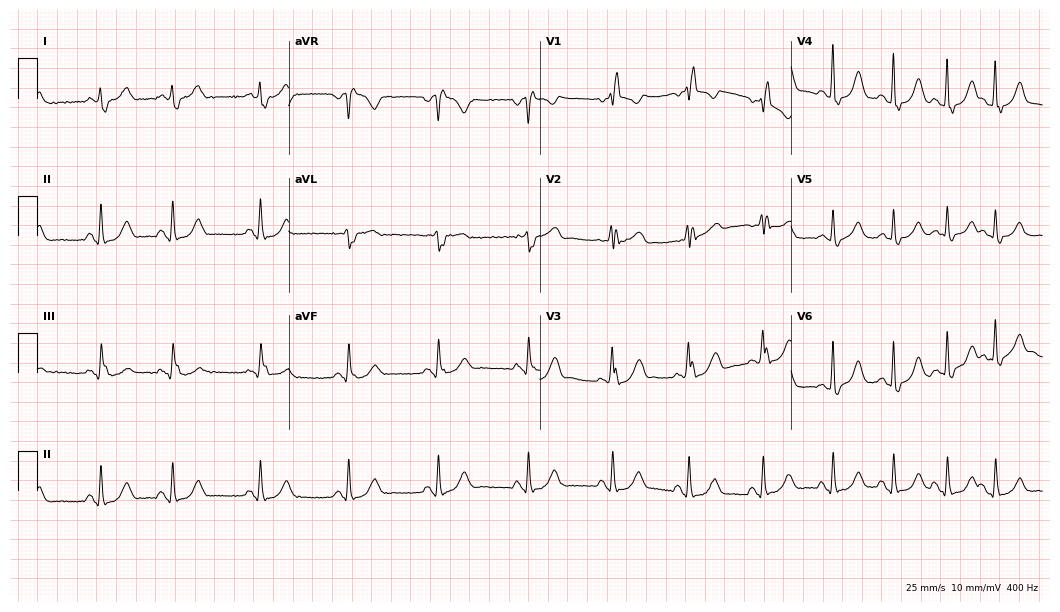
Electrocardiogram, an 83-year-old female patient. Of the six screened findings (first-degree AV block, right bundle branch block (RBBB), left bundle branch block (LBBB), sinus bradycardia, atrial fibrillation (AF), sinus tachycardia), none is recorded. Findings outside these six are not listed.